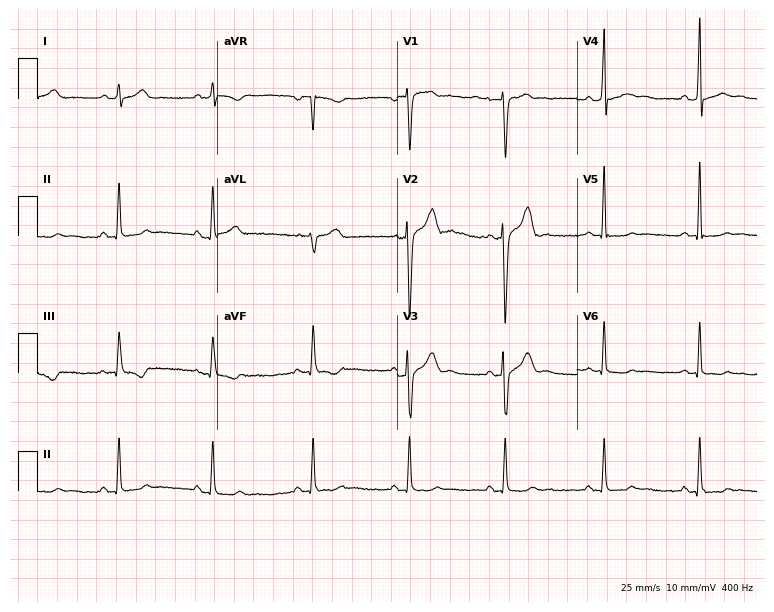
Electrocardiogram (7.3-second recording at 400 Hz), a man, 31 years old. Of the six screened findings (first-degree AV block, right bundle branch block (RBBB), left bundle branch block (LBBB), sinus bradycardia, atrial fibrillation (AF), sinus tachycardia), none is recorded.